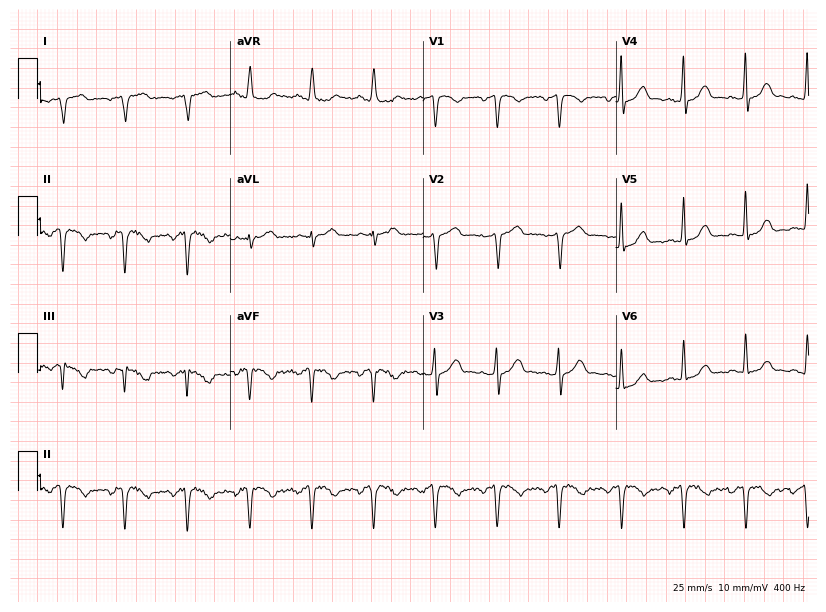
ECG — a 56-year-old male patient. Screened for six findings — first-degree AV block, right bundle branch block (RBBB), left bundle branch block (LBBB), sinus bradycardia, atrial fibrillation (AF), sinus tachycardia — none is recorded. Other findings, if any, are not listed.